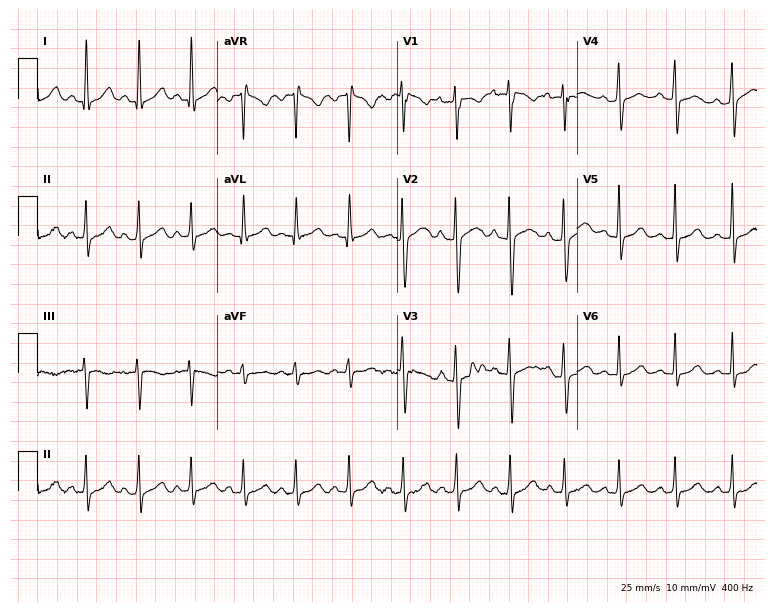
Resting 12-lead electrocardiogram. Patient: a woman, 20 years old. The tracing shows sinus tachycardia (a sinus rate of 100 beats per minute or more).